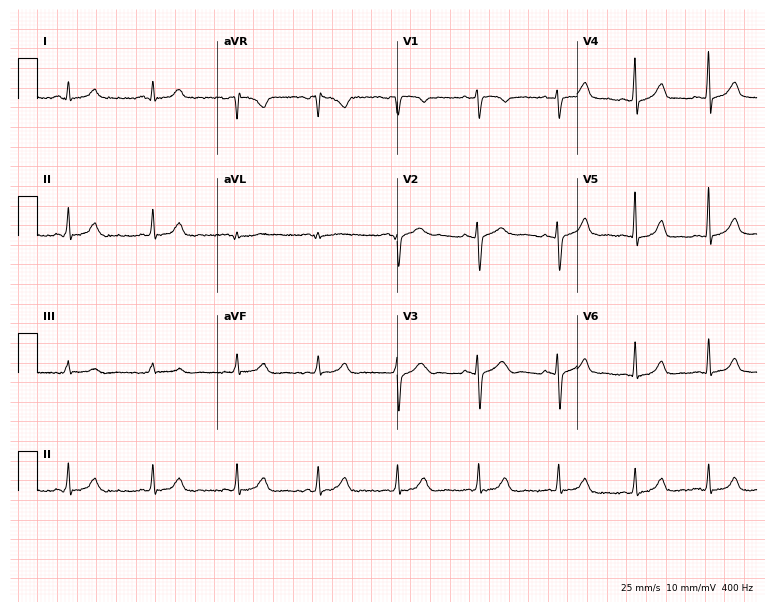
12-lead ECG from a woman, 41 years old. Recorded interpretation: within normal limits.